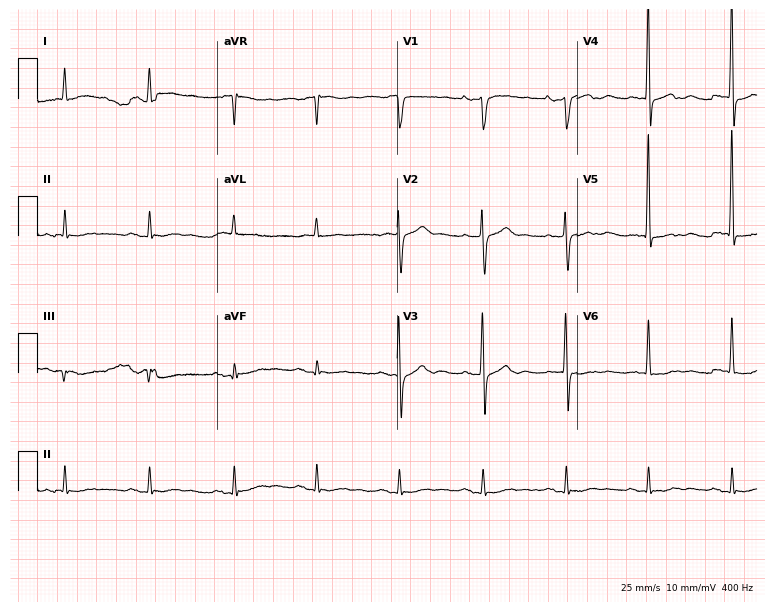
Electrocardiogram (7.3-second recording at 400 Hz), a male, 80 years old. Of the six screened findings (first-degree AV block, right bundle branch block (RBBB), left bundle branch block (LBBB), sinus bradycardia, atrial fibrillation (AF), sinus tachycardia), none is recorded.